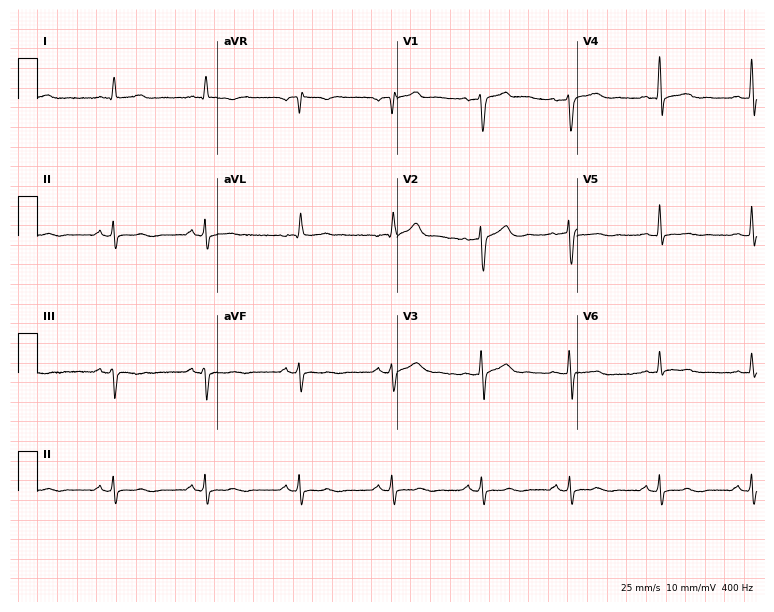
Standard 12-lead ECG recorded from a male, 56 years old (7.3-second recording at 400 Hz). Read as a normal ECG.